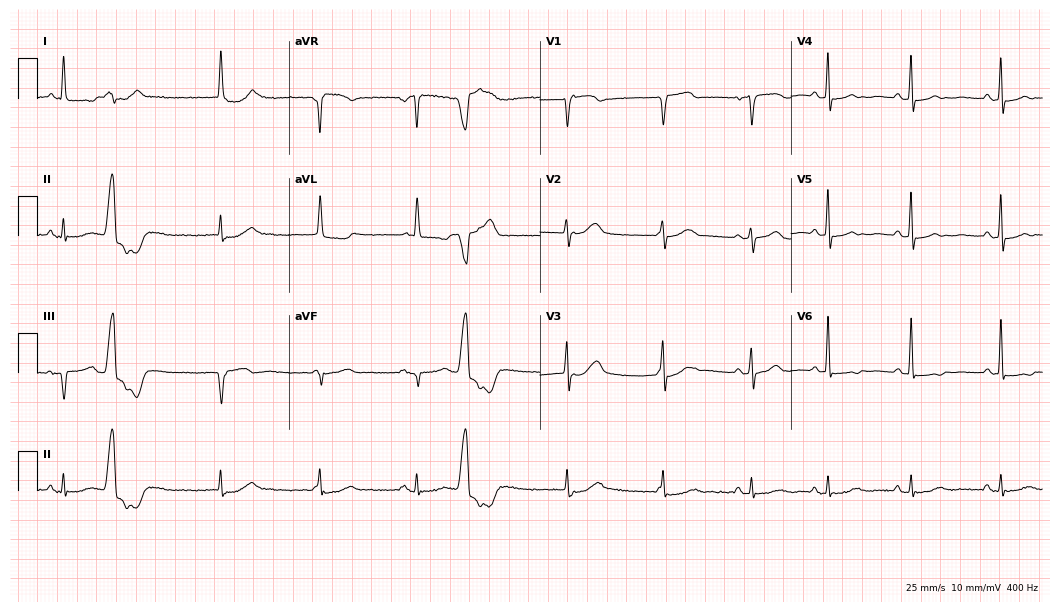
12-lead ECG from a female patient, 69 years old. Screened for six findings — first-degree AV block, right bundle branch block, left bundle branch block, sinus bradycardia, atrial fibrillation, sinus tachycardia — none is recorded. Only these six findings were labelled.